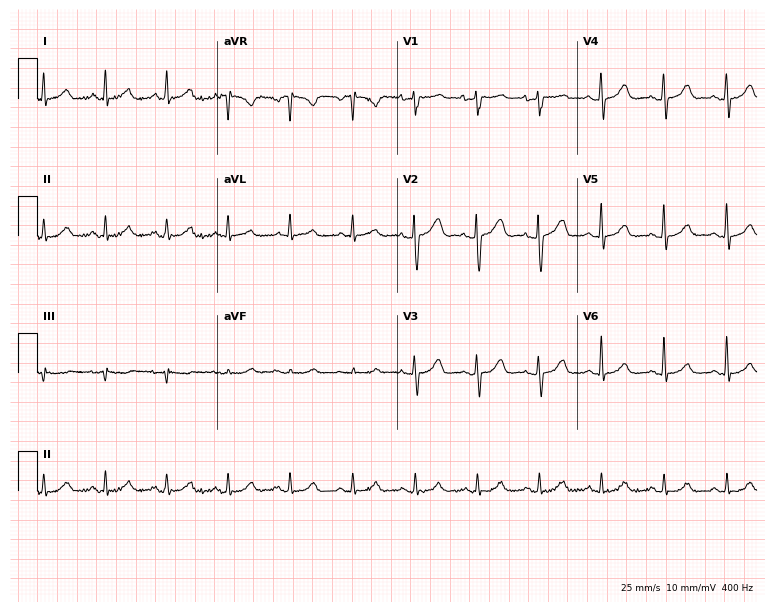
ECG (7.3-second recording at 400 Hz) — a 56-year-old female. Labelled as a normal ECG.